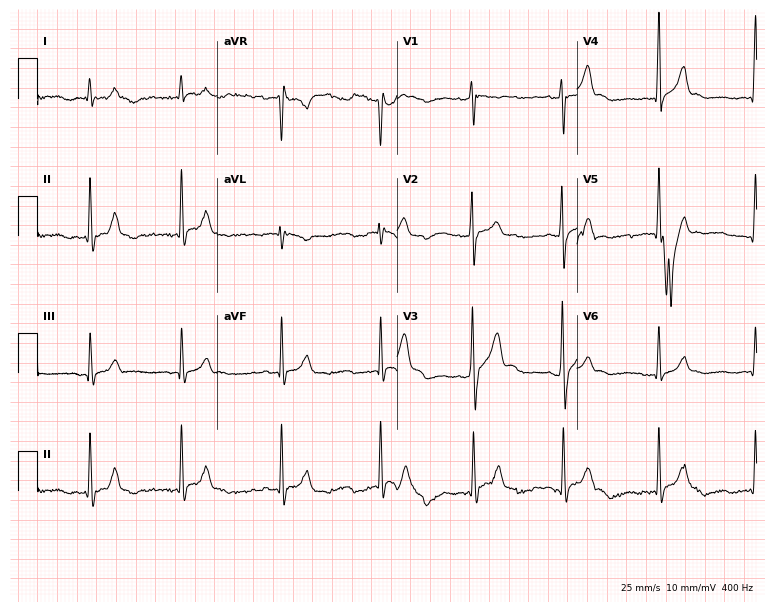
Electrocardiogram (7.3-second recording at 400 Hz), a male patient, 18 years old. Of the six screened findings (first-degree AV block, right bundle branch block (RBBB), left bundle branch block (LBBB), sinus bradycardia, atrial fibrillation (AF), sinus tachycardia), none is recorded.